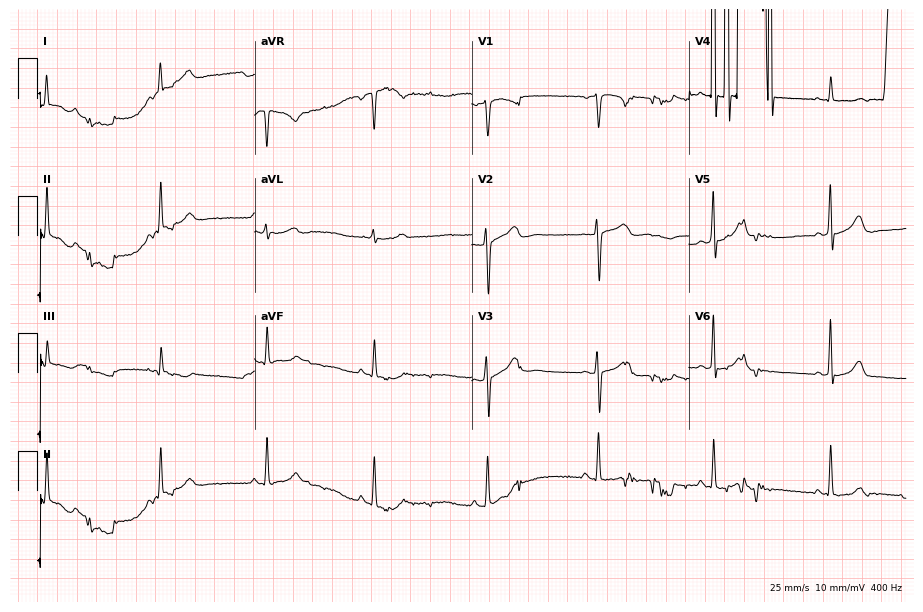
12-lead ECG (8.9-second recording at 400 Hz) from a female patient, 45 years old. Screened for six findings — first-degree AV block, right bundle branch block, left bundle branch block, sinus bradycardia, atrial fibrillation, sinus tachycardia — none is recorded.